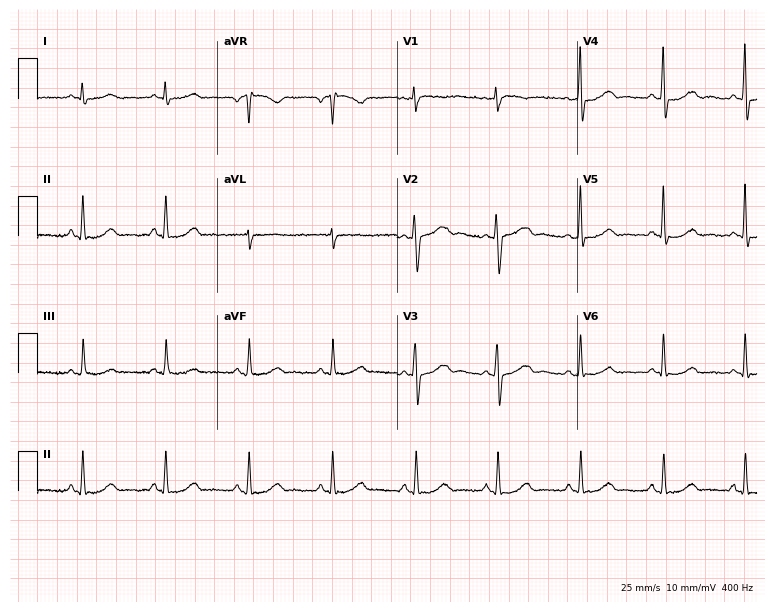
Resting 12-lead electrocardiogram. Patient: a 57-year-old female. Read as a normal ECG.